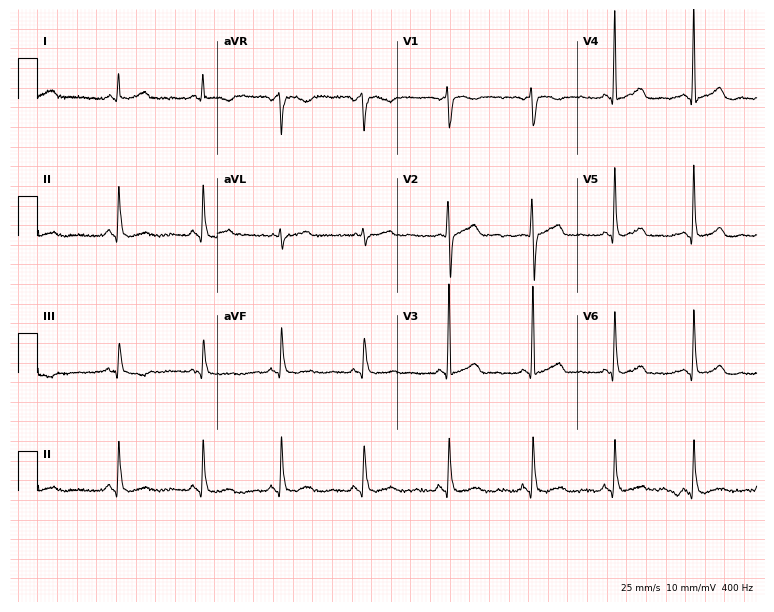
12-lead ECG from a female, 46 years old. Recorded interpretation: within normal limits.